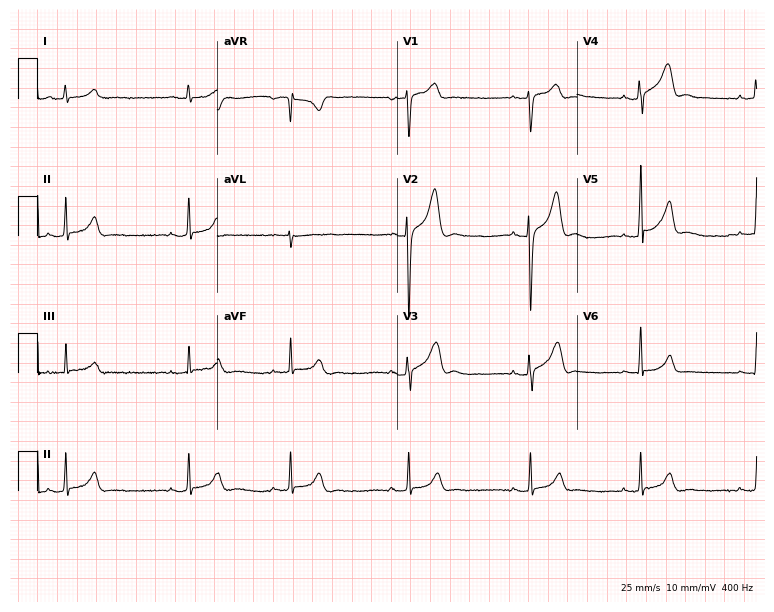
12-lead ECG (7.3-second recording at 400 Hz) from a 25-year-old male patient. Screened for six findings — first-degree AV block, right bundle branch block, left bundle branch block, sinus bradycardia, atrial fibrillation, sinus tachycardia — none is recorded.